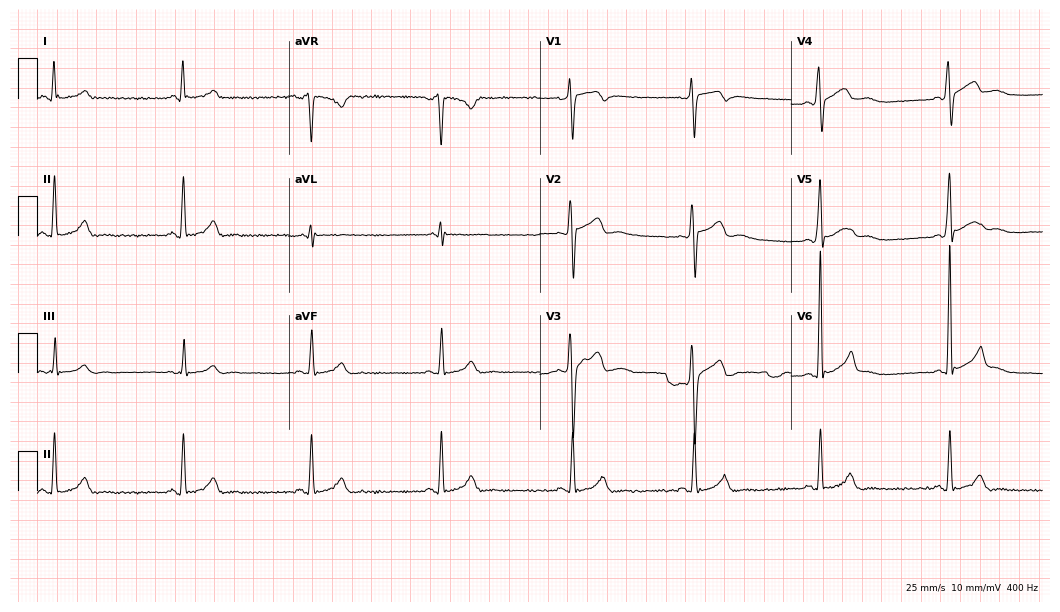
ECG — a 32-year-old male patient. Findings include sinus bradycardia (a sinus rate of 50 beats per minute or less).